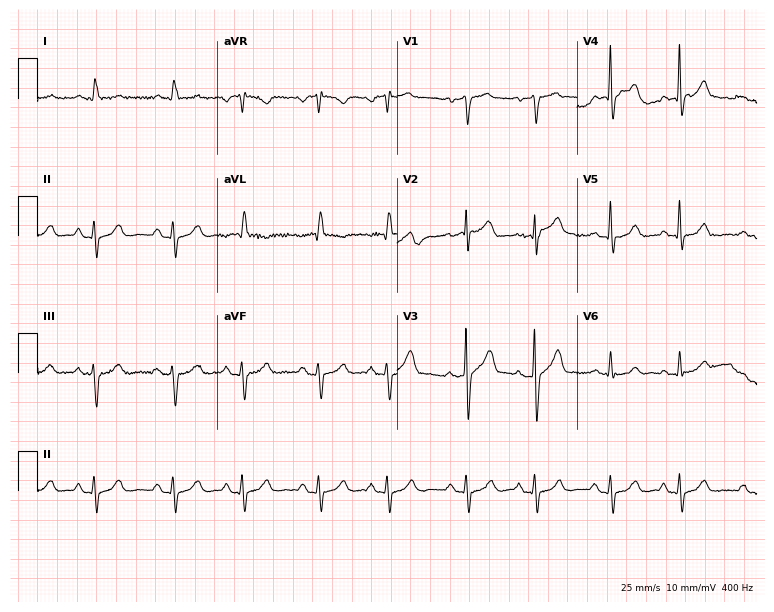
Standard 12-lead ECG recorded from a 73-year-old male patient (7.3-second recording at 400 Hz). None of these six findings is recorded: first-degree AV block, right bundle branch block, left bundle branch block, sinus bradycardia, atrial fibrillation, sinus tachycardia.